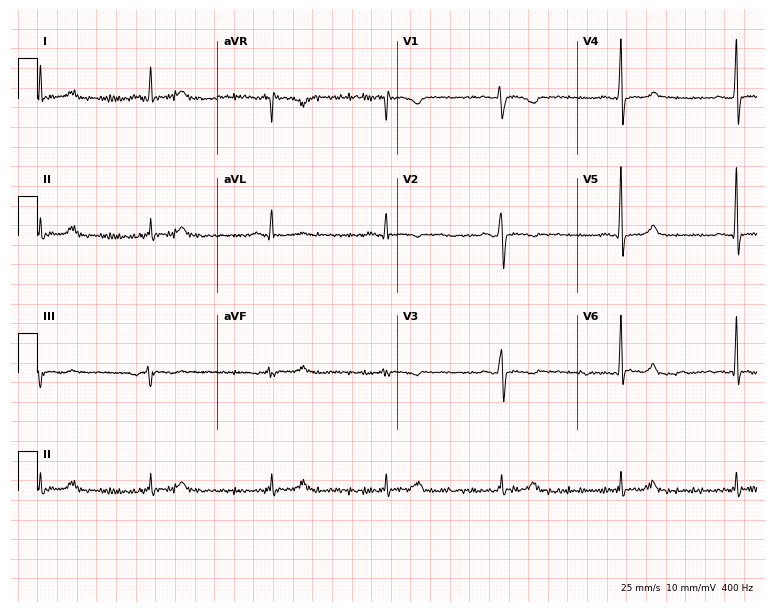
Electrocardiogram, a female patient, 37 years old. Of the six screened findings (first-degree AV block, right bundle branch block, left bundle branch block, sinus bradycardia, atrial fibrillation, sinus tachycardia), none is recorded. Other findings, if any, are not listed.